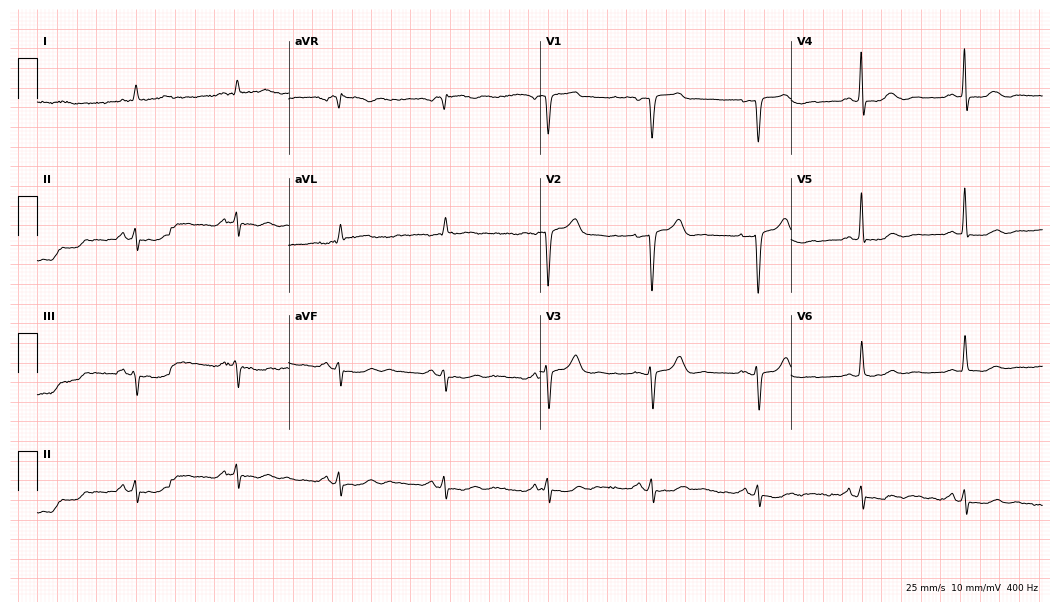
Electrocardiogram (10.2-second recording at 400 Hz), a 69-year-old male. Overall reading on record: normal ECG.